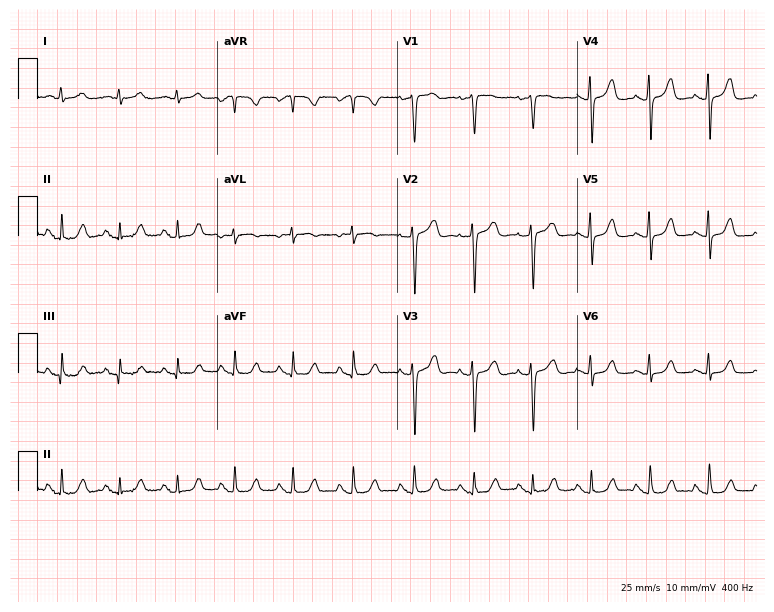
12-lead ECG (7.3-second recording at 400 Hz) from a female patient, 63 years old. Findings include sinus tachycardia (a sinus rate of 100 beats per minute or more).